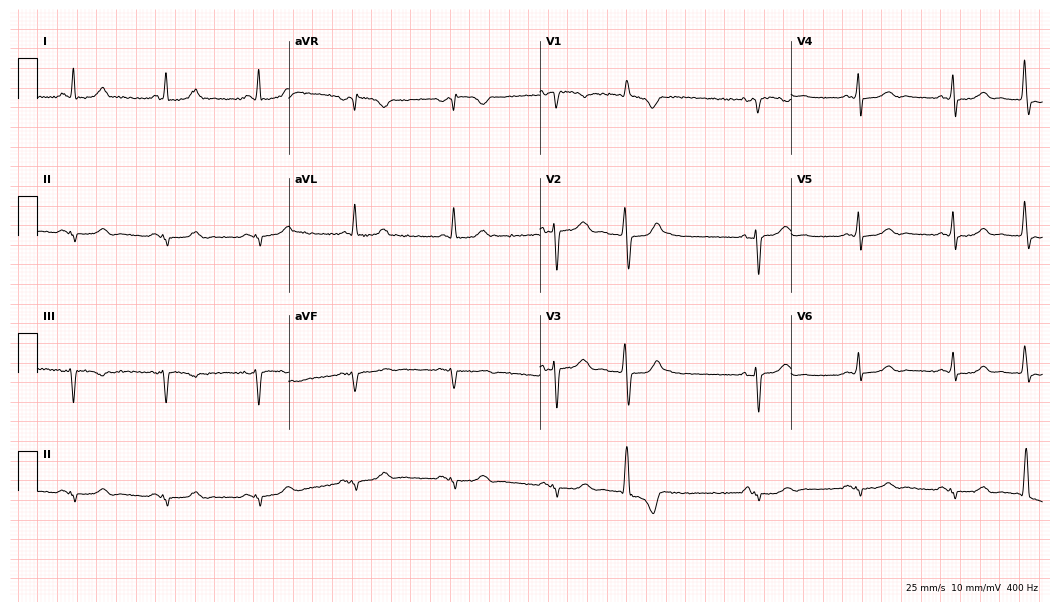
12-lead ECG (10.2-second recording at 400 Hz) from a 58-year-old woman. Labelled as a normal ECG.